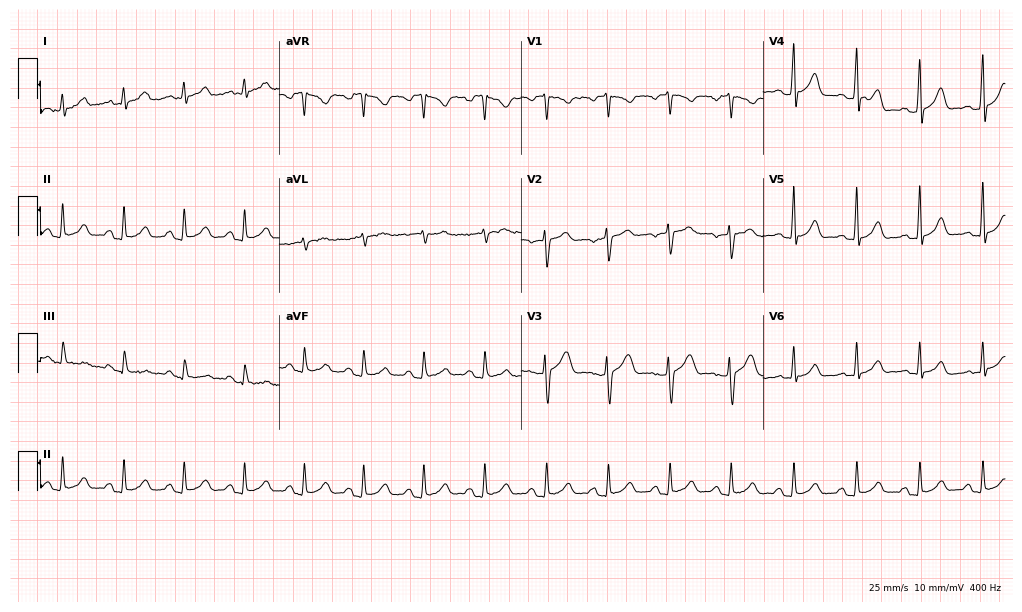
Resting 12-lead electrocardiogram (9.9-second recording at 400 Hz). Patient: a 32-year-old female. Read as a normal ECG.